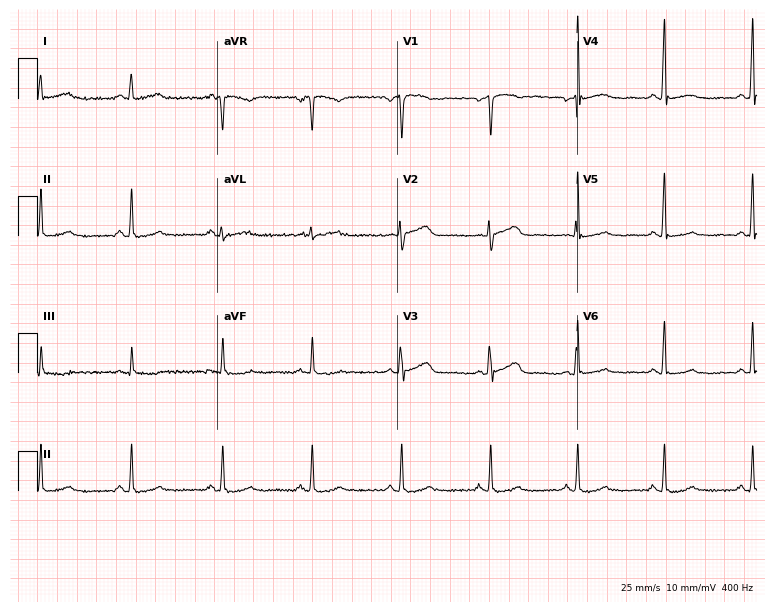
12-lead ECG from a 51-year-old female patient. Recorded interpretation: within normal limits.